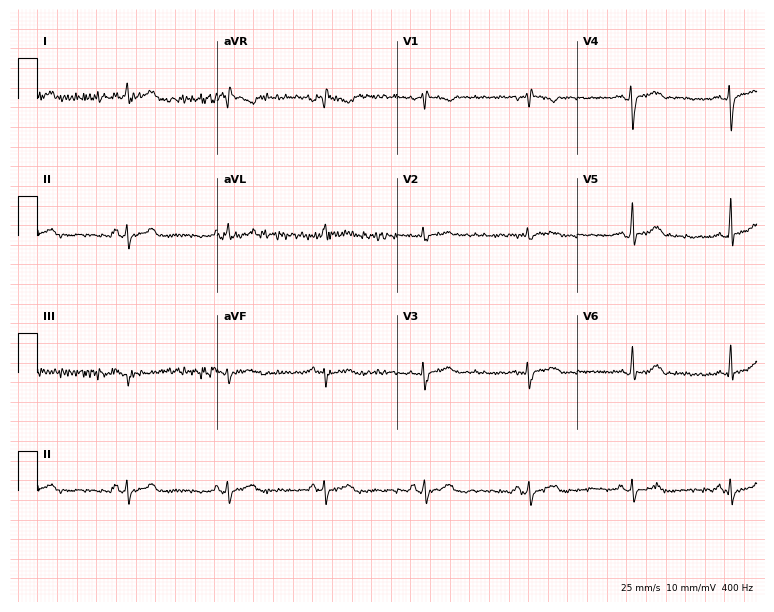
Resting 12-lead electrocardiogram (7.3-second recording at 400 Hz). Patient: a woman, 21 years old. None of these six findings is recorded: first-degree AV block, right bundle branch block, left bundle branch block, sinus bradycardia, atrial fibrillation, sinus tachycardia.